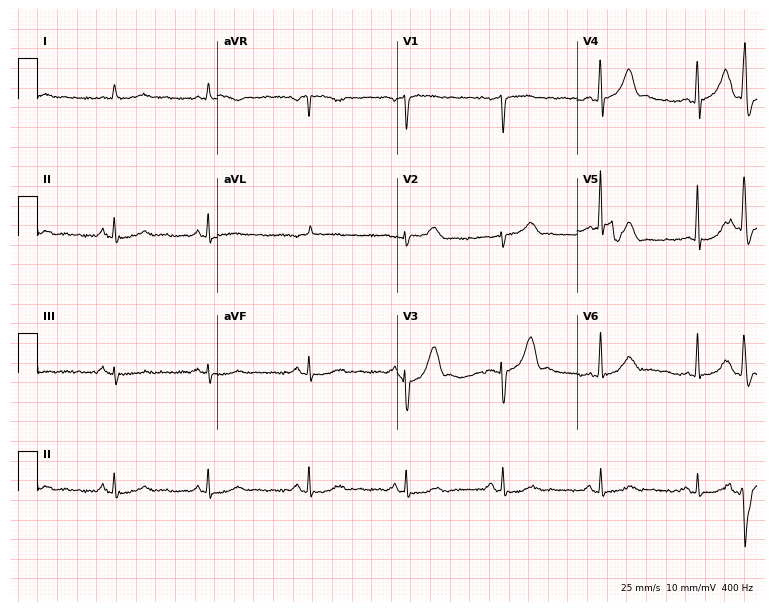
Electrocardiogram (7.3-second recording at 400 Hz), a male, 80 years old. Of the six screened findings (first-degree AV block, right bundle branch block, left bundle branch block, sinus bradycardia, atrial fibrillation, sinus tachycardia), none is recorded. Other findings, if any, are not listed.